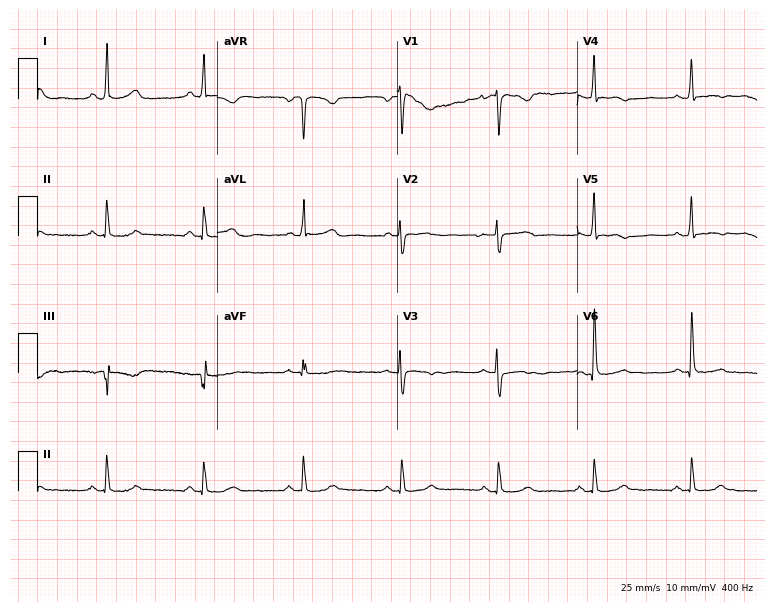
12-lead ECG (7.3-second recording at 400 Hz) from a 61-year-old woman. Labelled as a normal ECG.